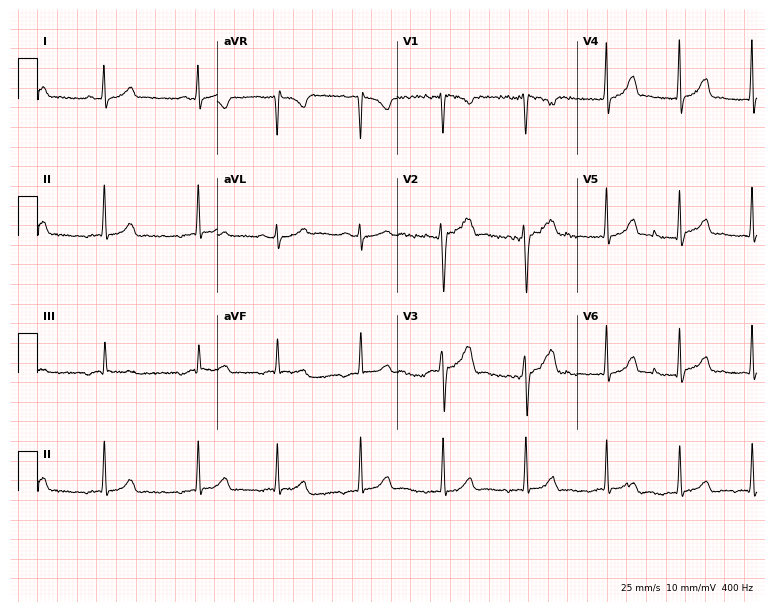
ECG — a female, 21 years old. Screened for six findings — first-degree AV block, right bundle branch block (RBBB), left bundle branch block (LBBB), sinus bradycardia, atrial fibrillation (AF), sinus tachycardia — none is recorded.